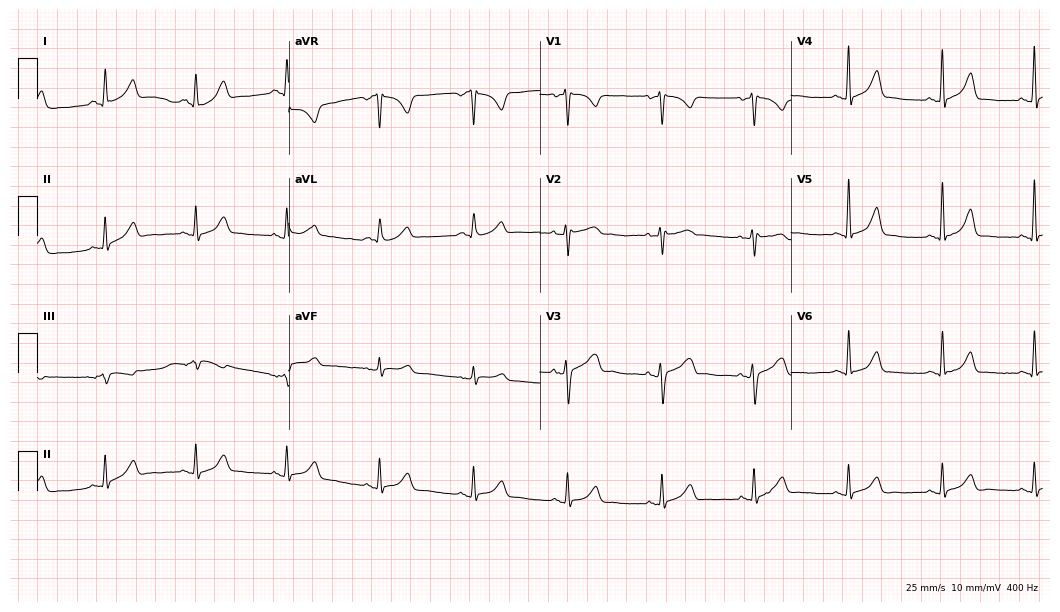
Resting 12-lead electrocardiogram (10.2-second recording at 400 Hz). Patient: a 57-year-old female. Read as a normal ECG.